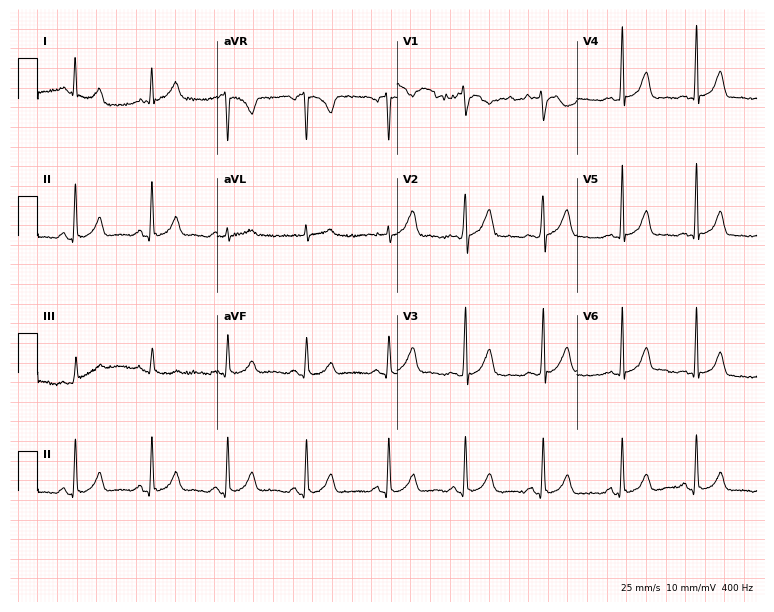
ECG (7.3-second recording at 400 Hz) — a 30-year-old female patient. Labelled as a normal ECG.